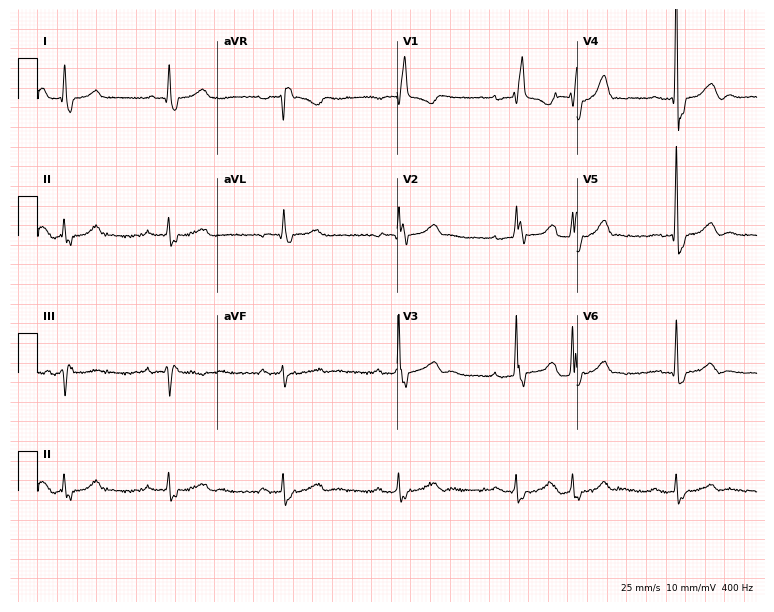
Resting 12-lead electrocardiogram. Patient: a male, 85 years old. The tracing shows right bundle branch block.